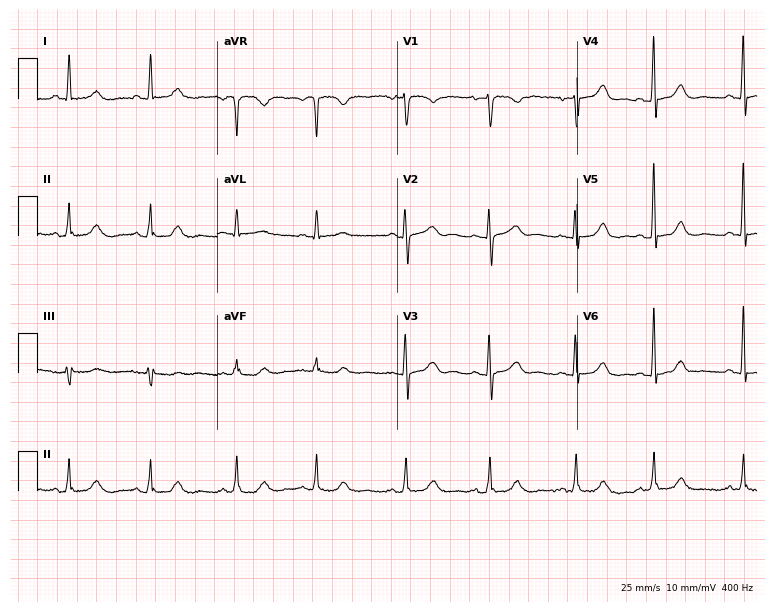
Electrocardiogram (7.3-second recording at 400 Hz), a female, 69 years old. Of the six screened findings (first-degree AV block, right bundle branch block (RBBB), left bundle branch block (LBBB), sinus bradycardia, atrial fibrillation (AF), sinus tachycardia), none is recorded.